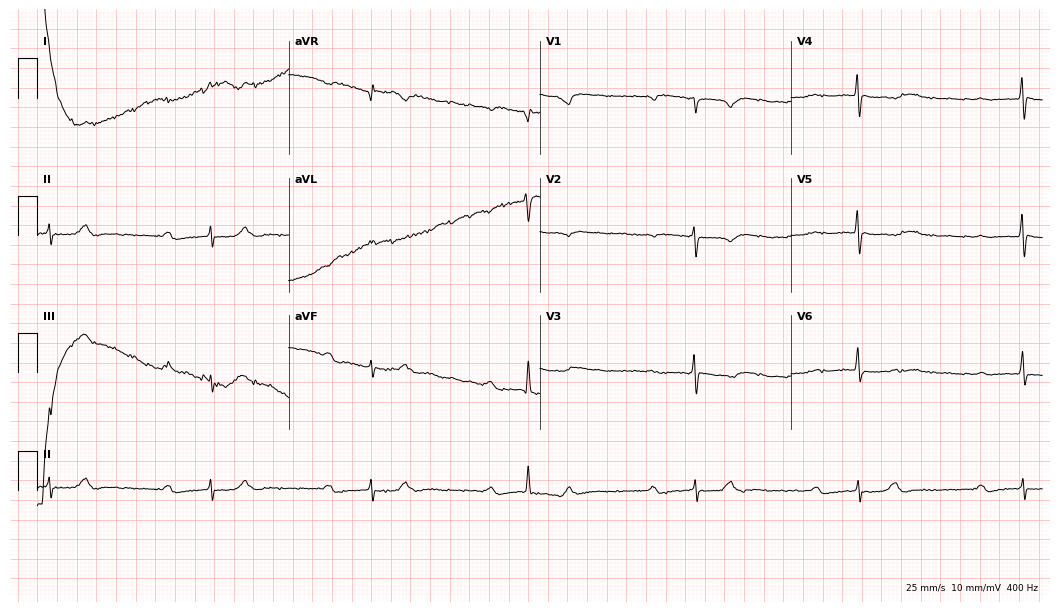
12-lead ECG from a 72-year-old woman. Screened for six findings — first-degree AV block, right bundle branch block, left bundle branch block, sinus bradycardia, atrial fibrillation, sinus tachycardia — none is recorded.